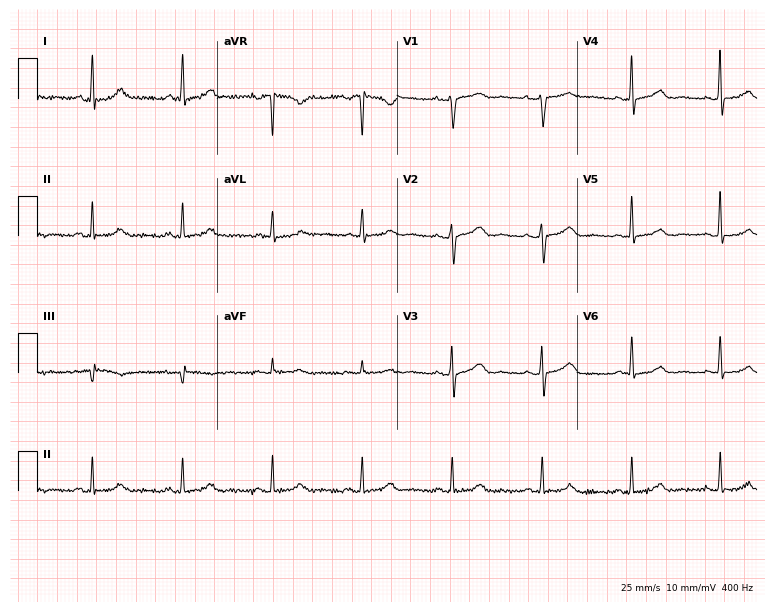
12-lead ECG from a 52-year-old female. Screened for six findings — first-degree AV block, right bundle branch block, left bundle branch block, sinus bradycardia, atrial fibrillation, sinus tachycardia — none is recorded. Only these six findings were labelled.